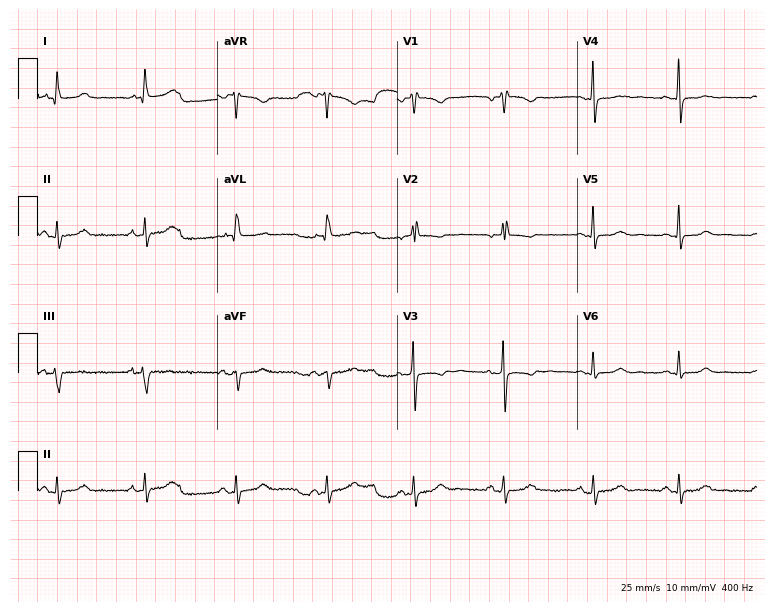
Electrocardiogram (7.3-second recording at 400 Hz), a female, 47 years old. Of the six screened findings (first-degree AV block, right bundle branch block (RBBB), left bundle branch block (LBBB), sinus bradycardia, atrial fibrillation (AF), sinus tachycardia), none is recorded.